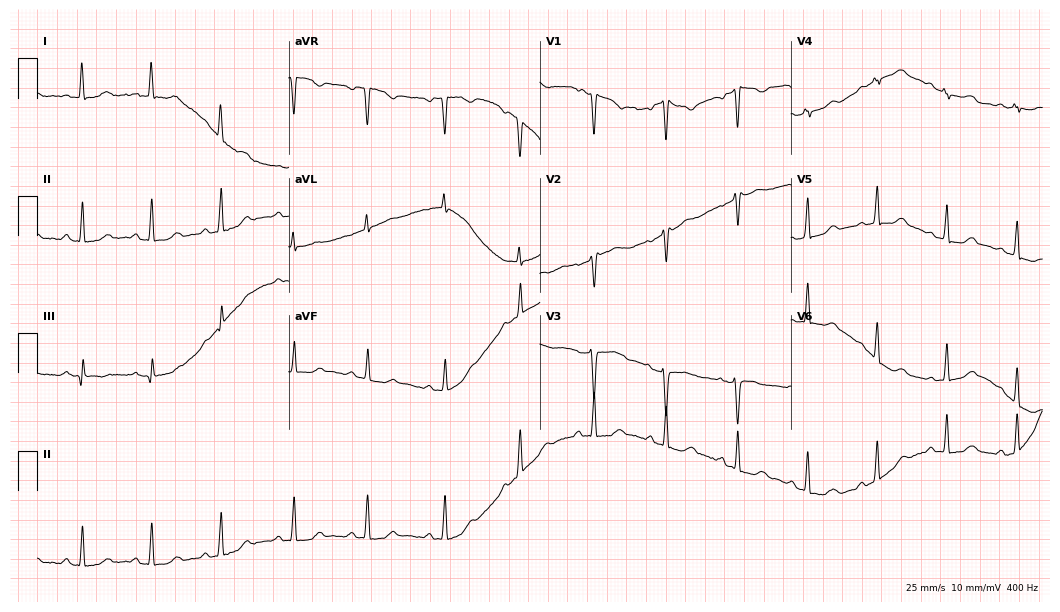
Electrocardiogram, a 46-year-old female. Of the six screened findings (first-degree AV block, right bundle branch block, left bundle branch block, sinus bradycardia, atrial fibrillation, sinus tachycardia), none is recorded. Findings outside these six are not listed.